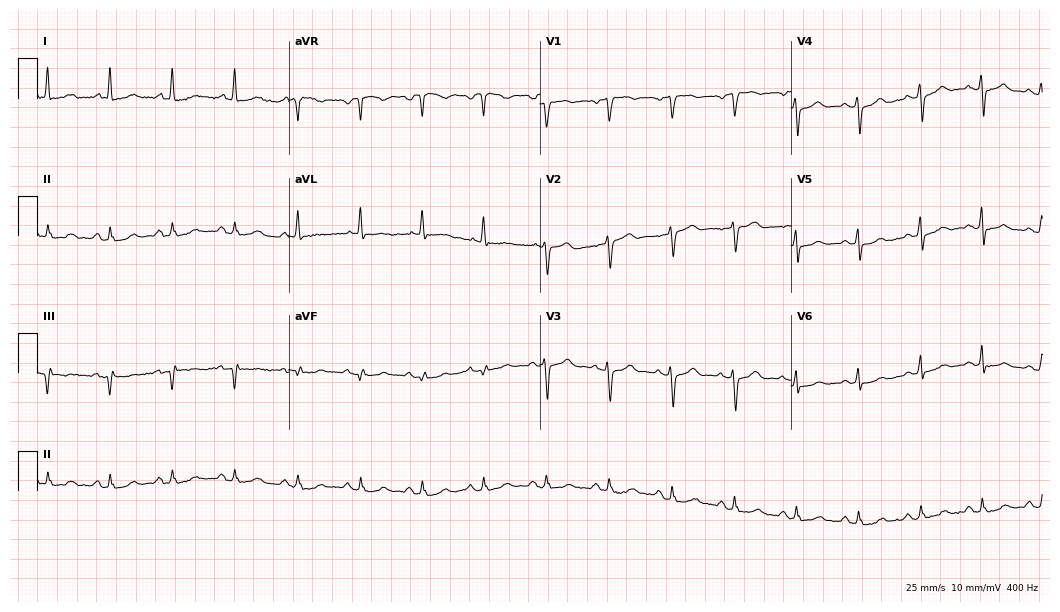
ECG (10.2-second recording at 400 Hz) — a female, 65 years old. Labelled as a normal ECG.